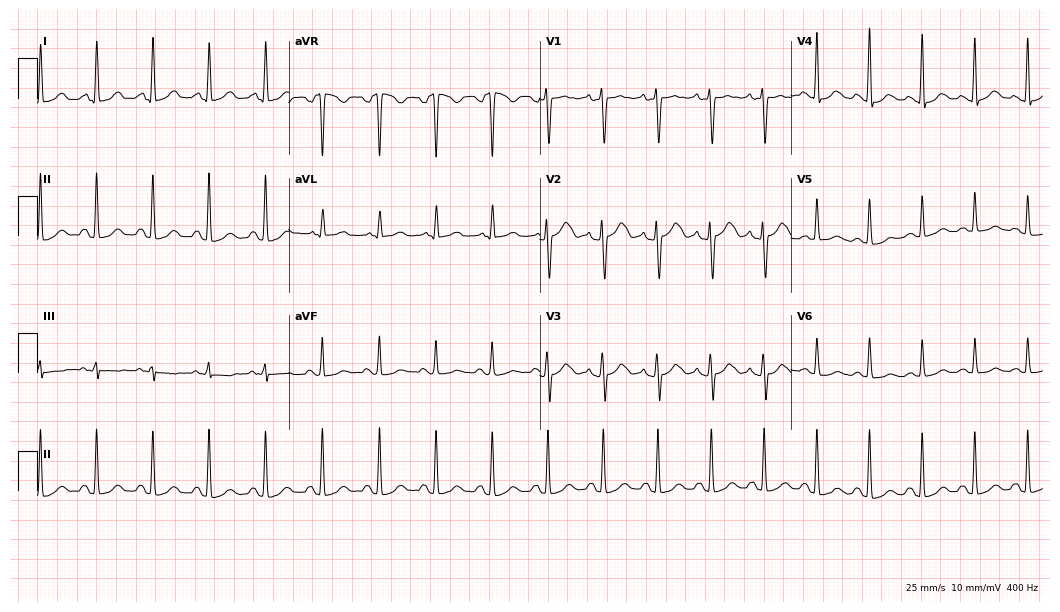
ECG (10.2-second recording at 400 Hz) — a woman, 22 years old. Findings include sinus tachycardia (a sinus rate of 100 beats per minute or more).